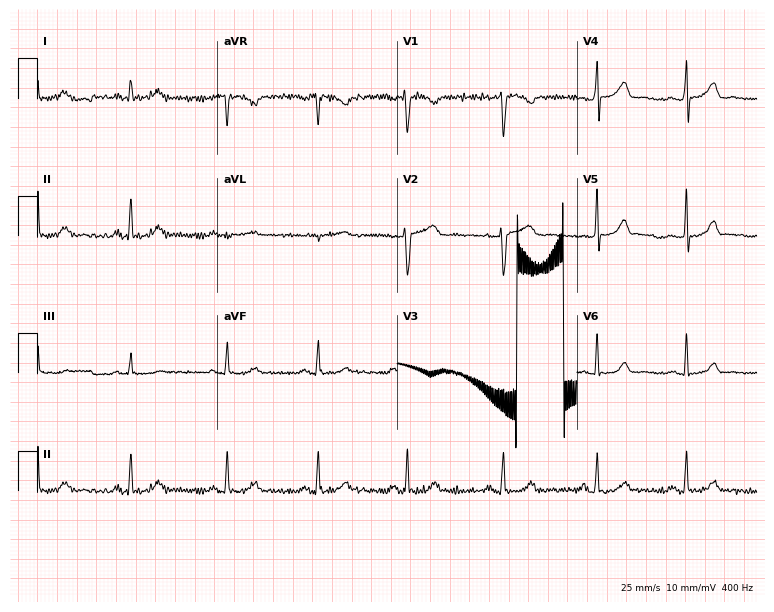
Electrocardiogram, a 45-year-old woman. Overall reading on record: normal ECG.